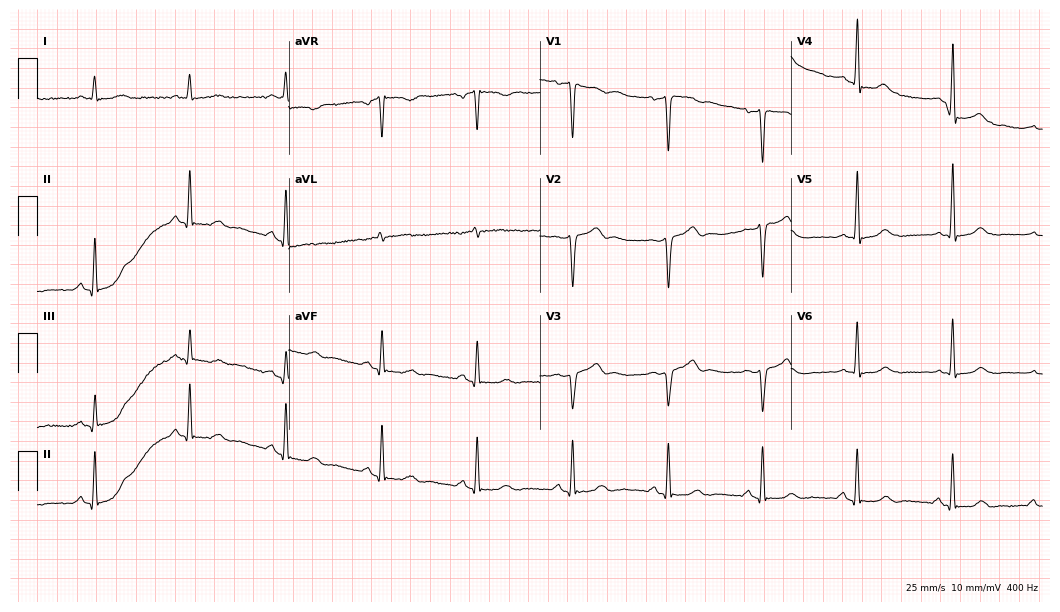
Resting 12-lead electrocardiogram. Patient: a man, 78 years old. Read as a normal ECG.